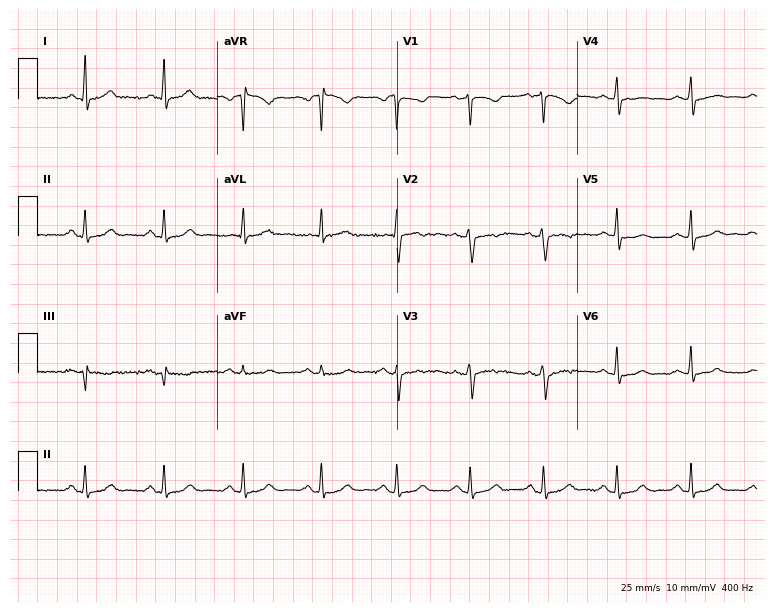
Resting 12-lead electrocardiogram. Patient: a woman, 50 years old. Read as a normal ECG.